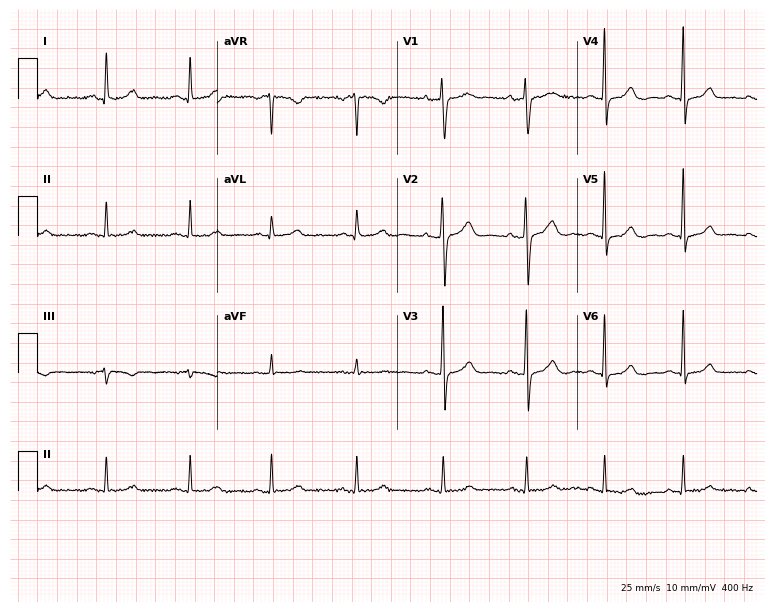
12-lead ECG from a female, 41 years old (7.3-second recording at 400 Hz). No first-degree AV block, right bundle branch block, left bundle branch block, sinus bradycardia, atrial fibrillation or sinus tachycardia recorded for this tracing.